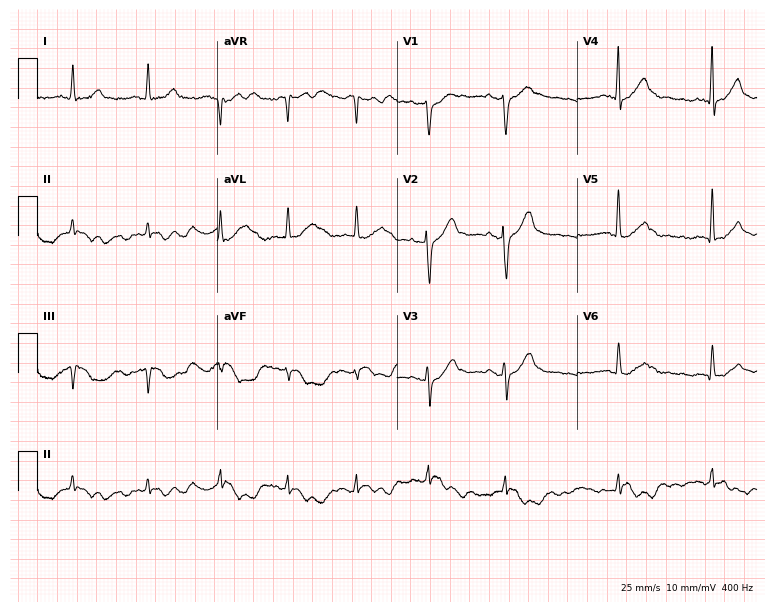
ECG (7.3-second recording at 400 Hz) — a male, 81 years old. Screened for six findings — first-degree AV block, right bundle branch block, left bundle branch block, sinus bradycardia, atrial fibrillation, sinus tachycardia — none is recorded.